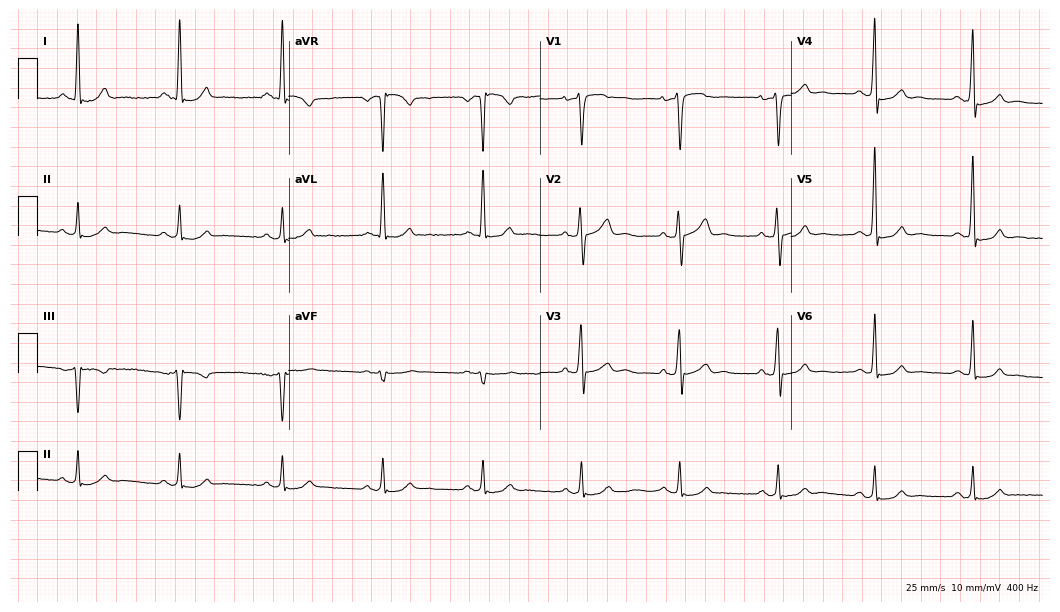
Resting 12-lead electrocardiogram (10.2-second recording at 400 Hz). Patient: a male, 53 years old. None of these six findings is recorded: first-degree AV block, right bundle branch block, left bundle branch block, sinus bradycardia, atrial fibrillation, sinus tachycardia. Findings outside these six are not listed.